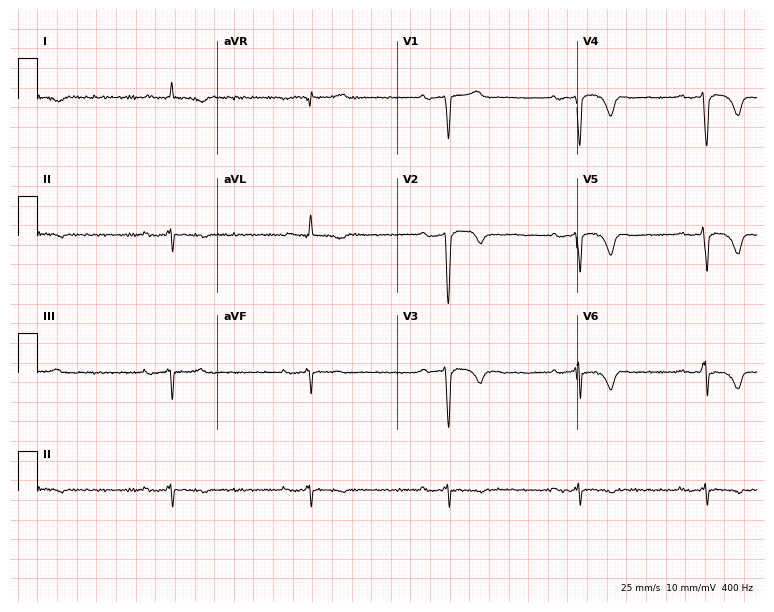
Standard 12-lead ECG recorded from a 79-year-old male. The tracing shows sinus bradycardia (a sinus rate of 50 beats per minute or less).